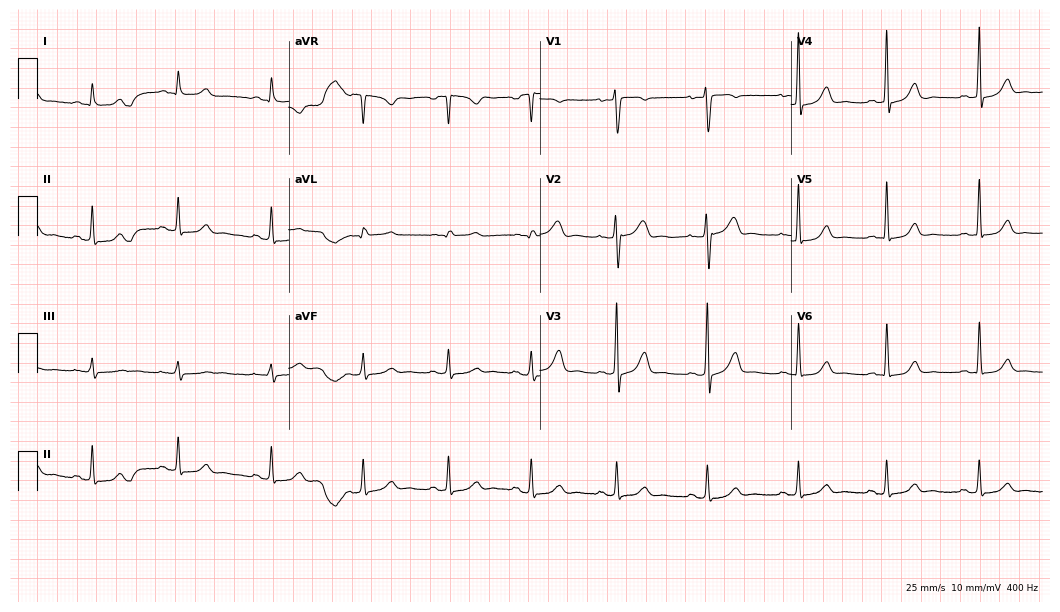
ECG — a female patient, 46 years old. Labelled as a normal ECG.